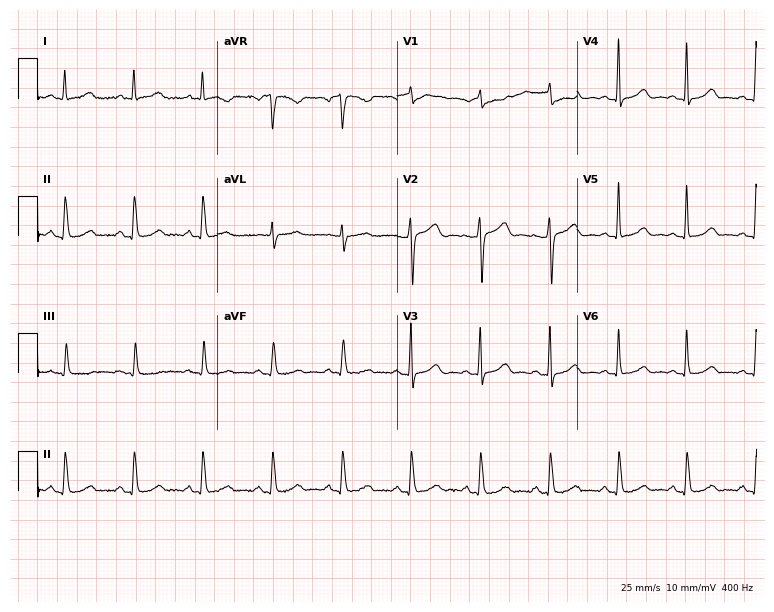
Electrocardiogram, a female, 75 years old. Overall reading on record: normal ECG.